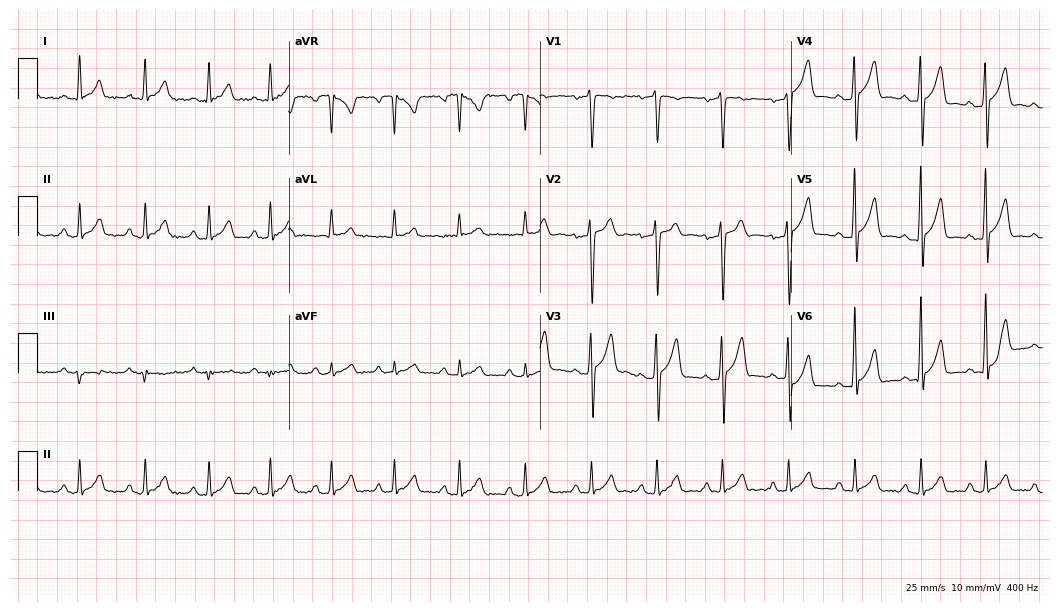
12-lead ECG (10.2-second recording at 400 Hz) from a 25-year-old man. Screened for six findings — first-degree AV block, right bundle branch block, left bundle branch block, sinus bradycardia, atrial fibrillation, sinus tachycardia — none is recorded. Other findings, if any, are not listed.